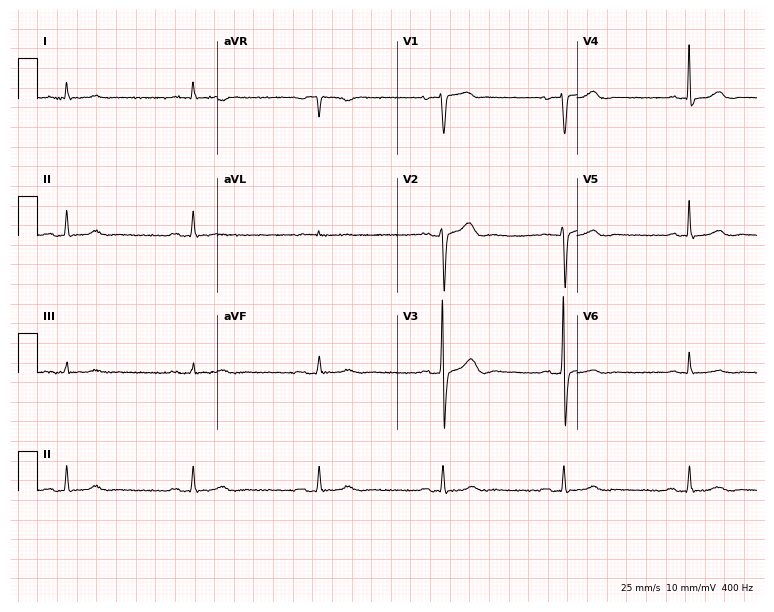
12-lead ECG from a 67-year-old male patient (7.3-second recording at 400 Hz). No first-degree AV block, right bundle branch block, left bundle branch block, sinus bradycardia, atrial fibrillation or sinus tachycardia recorded for this tracing.